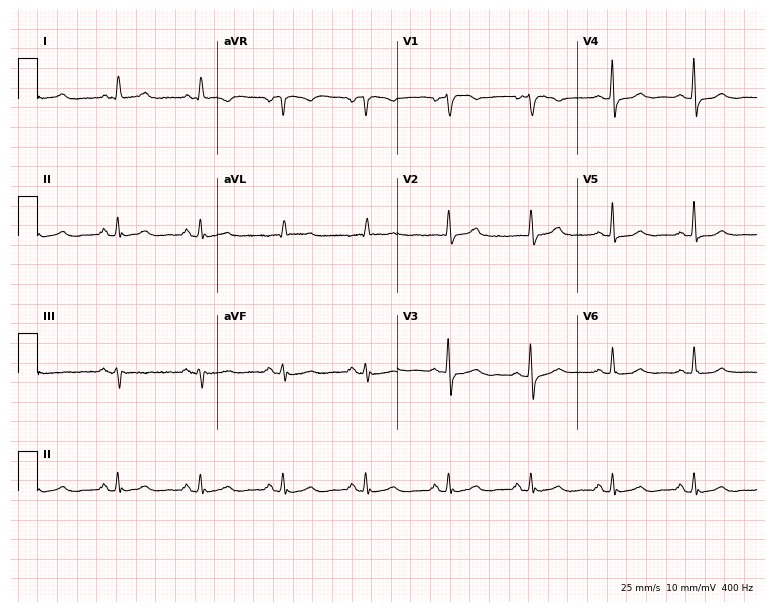
Electrocardiogram, a woman, 60 years old. Overall reading on record: normal ECG.